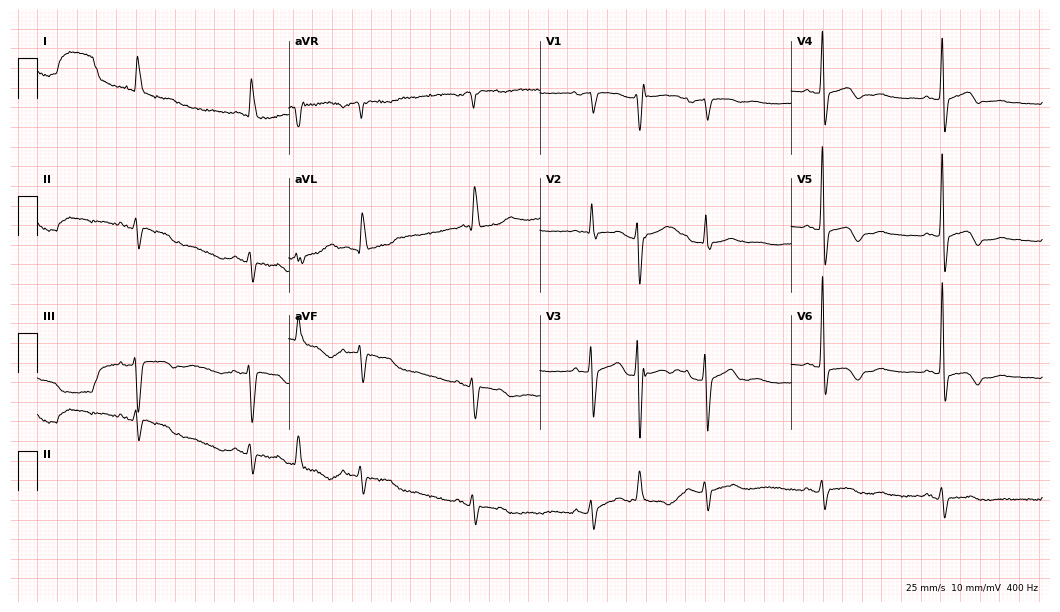
12-lead ECG (10.2-second recording at 400 Hz) from an 83-year-old woman. Screened for six findings — first-degree AV block, right bundle branch block, left bundle branch block, sinus bradycardia, atrial fibrillation, sinus tachycardia — none is recorded.